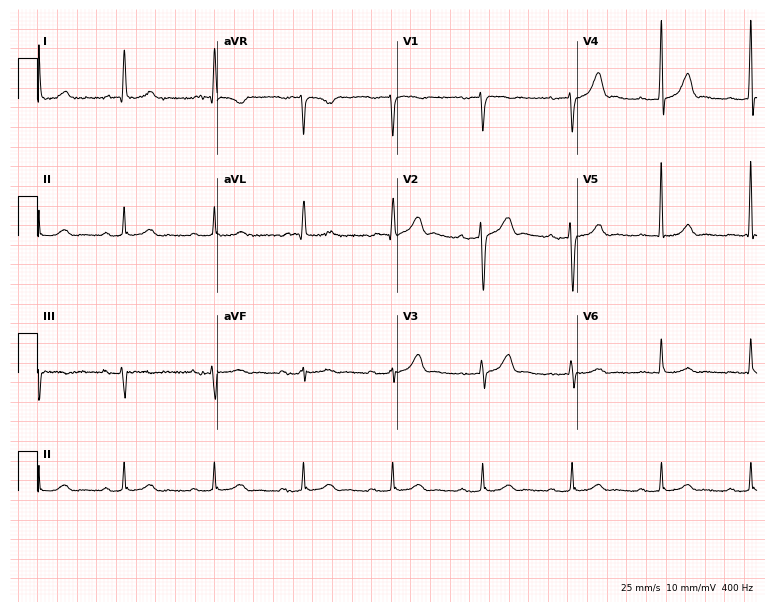
ECG — a 78-year-old male patient. Labelled as a normal ECG.